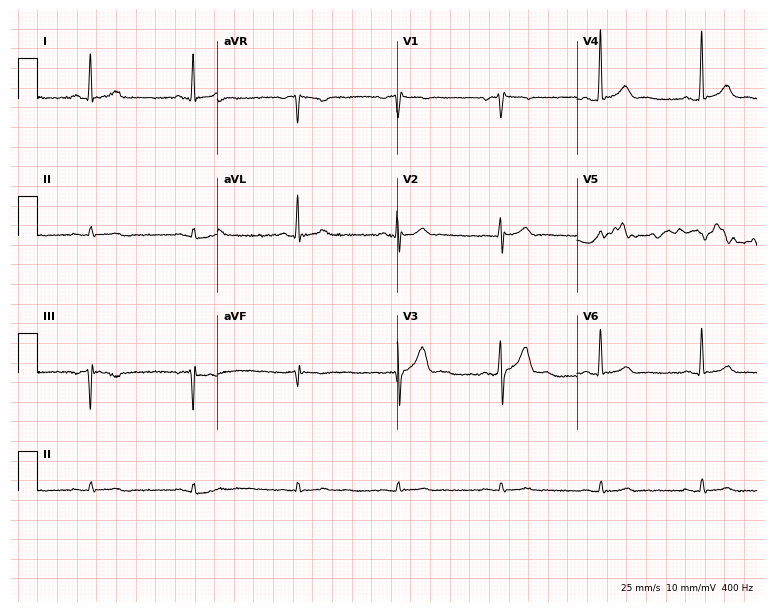
ECG — a male, 47 years old. Screened for six findings — first-degree AV block, right bundle branch block, left bundle branch block, sinus bradycardia, atrial fibrillation, sinus tachycardia — none is recorded. Findings outside these six are not listed.